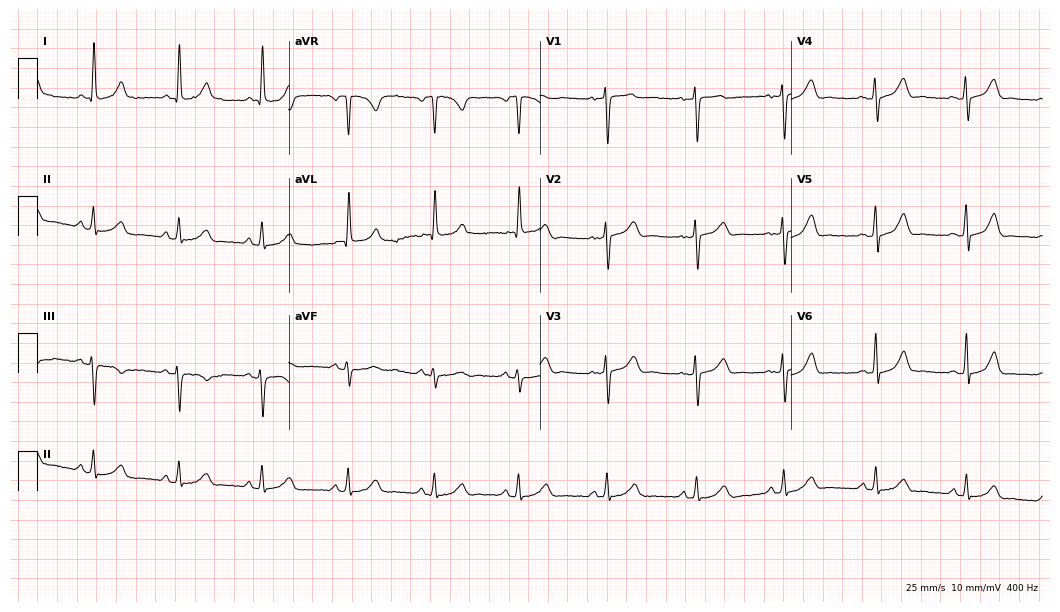
ECG — a 38-year-old woman. Labelled as a normal ECG.